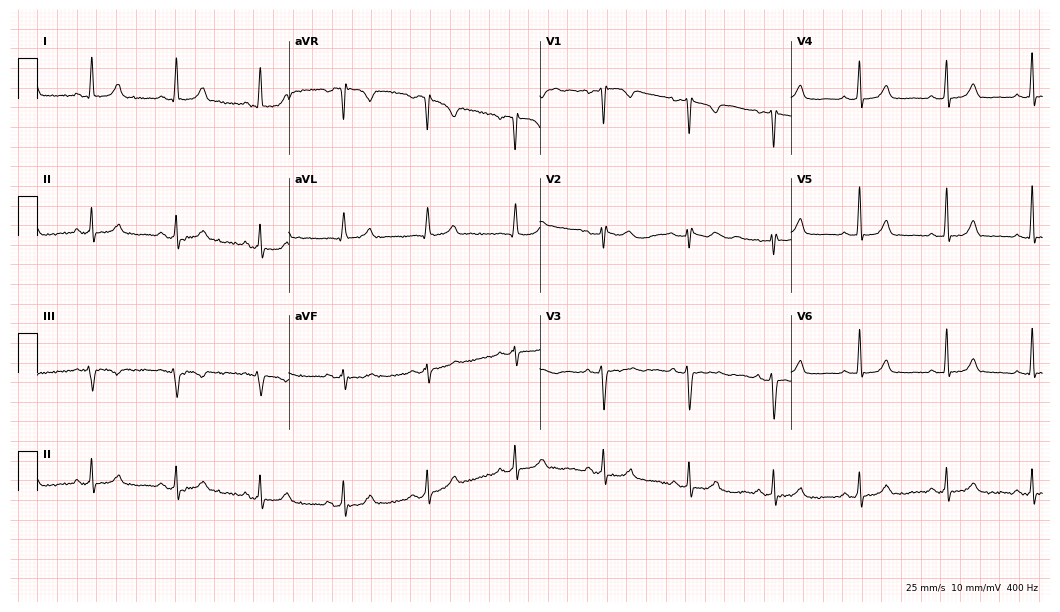
12-lead ECG (10.2-second recording at 400 Hz) from a woman, 43 years old. Labelled as a normal ECG.